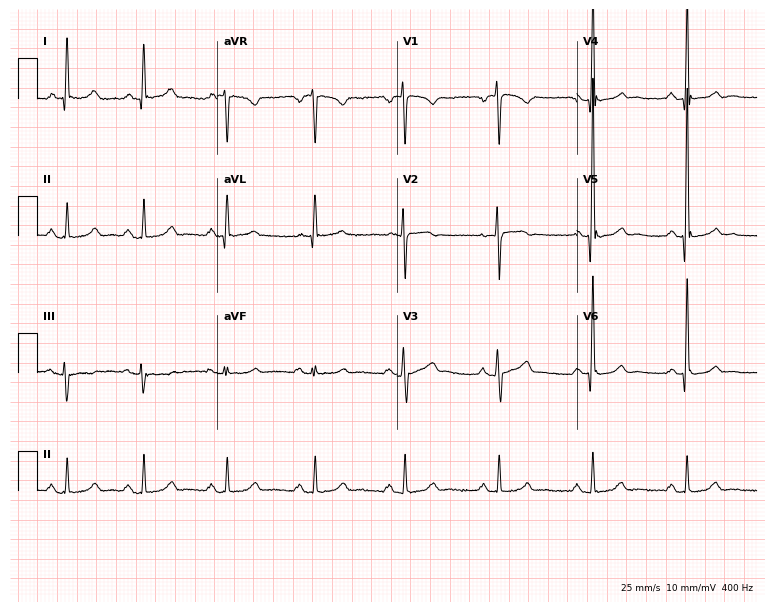
Standard 12-lead ECG recorded from a male patient, 51 years old (7.3-second recording at 400 Hz). Read as a normal ECG.